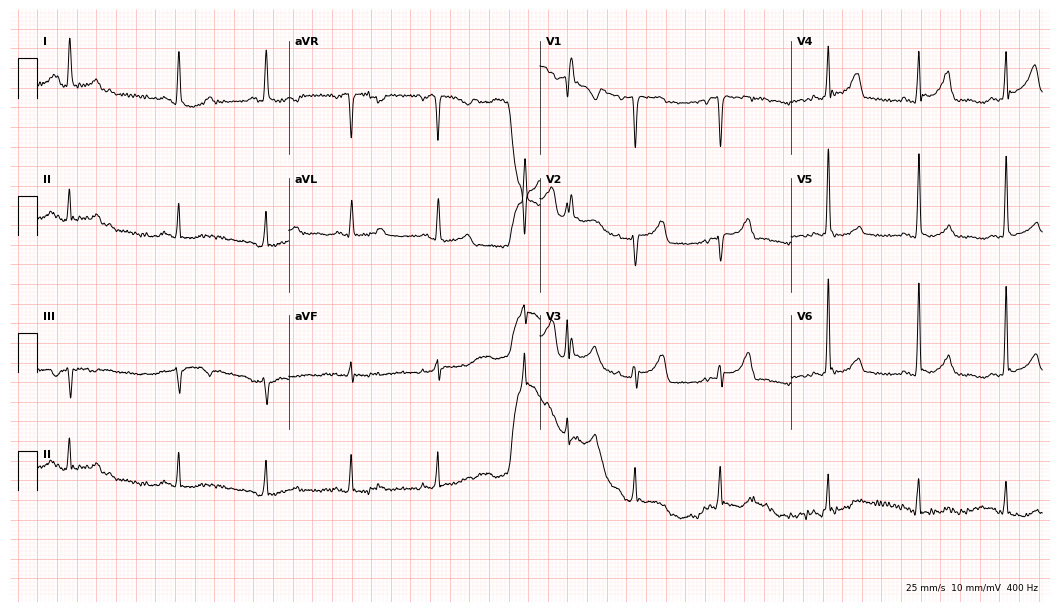
Resting 12-lead electrocardiogram. Patient: a 60-year-old female. None of these six findings is recorded: first-degree AV block, right bundle branch block, left bundle branch block, sinus bradycardia, atrial fibrillation, sinus tachycardia. Other findings, if any, are not listed.